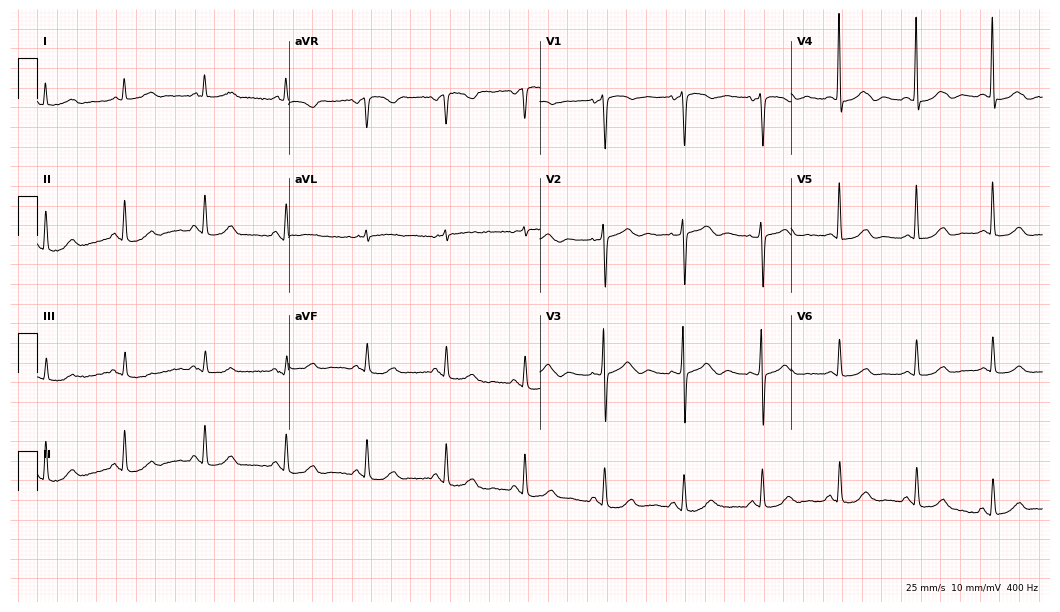
ECG (10.2-second recording at 400 Hz) — a 73-year-old woman. Screened for six findings — first-degree AV block, right bundle branch block, left bundle branch block, sinus bradycardia, atrial fibrillation, sinus tachycardia — none is recorded. Other findings, if any, are not listed.